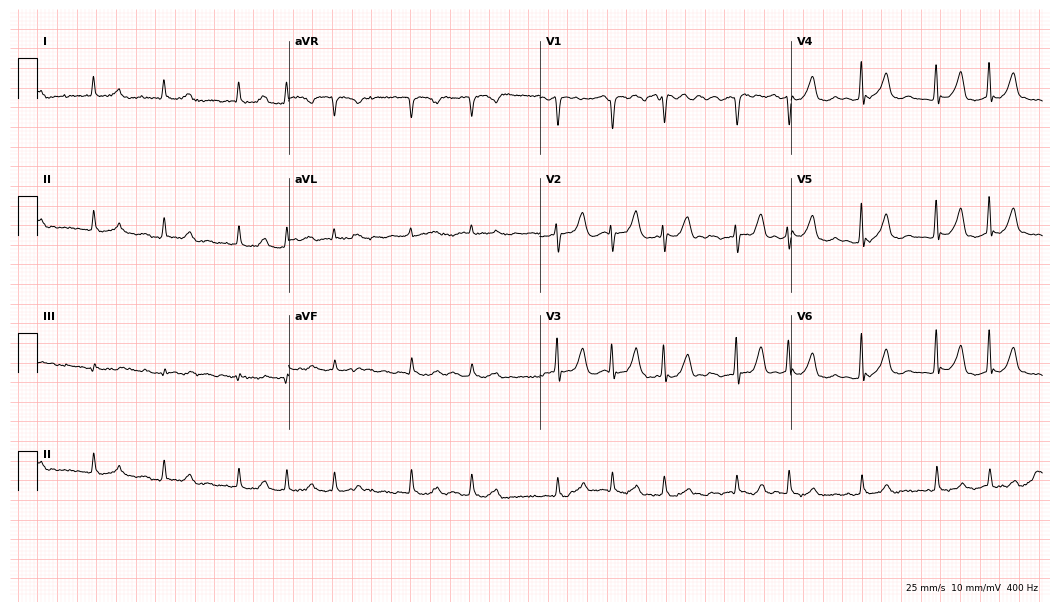
12-lead ECG from a male patient, 78 years old. Findings include atrial fibrillation.